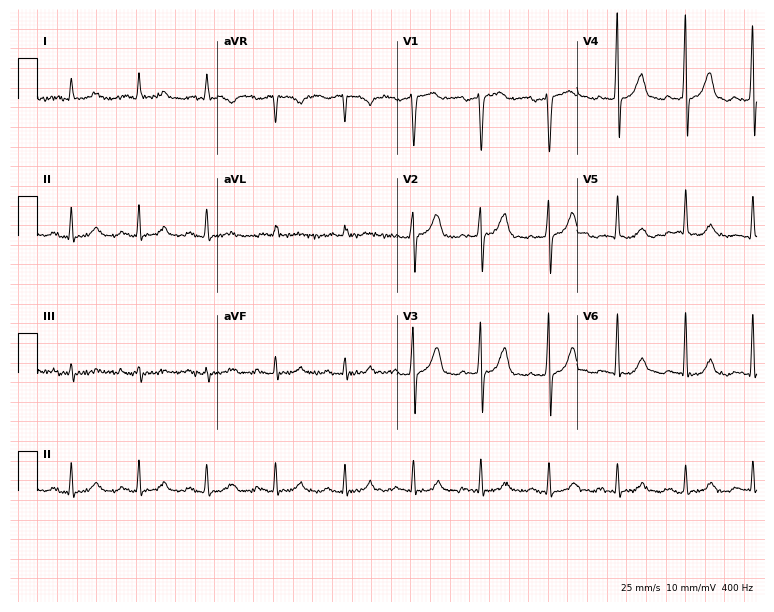
12-lead ECG from an 80-year-old male. Screened for six findings — first-degree AV block, right bundle branch block (RBBB), left bundle branch block (LBBB), sinus bradycardia, atrial fibrillation (AF), sinus tachycardia — none is recorded. Other findings, if any, are not listed.